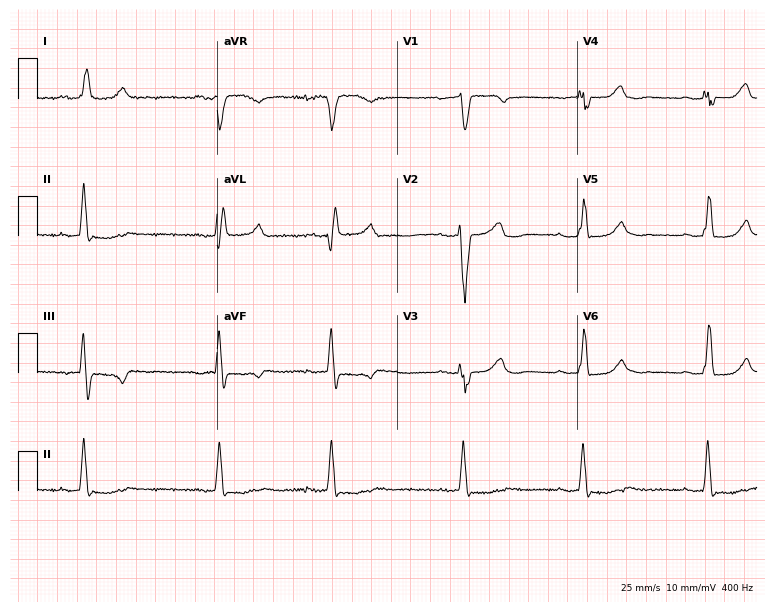
ECG — a 69-year-old female. Findings include left bundle branch block, sinus bradycardia (a sinus rate of 50 beats per minute or less).